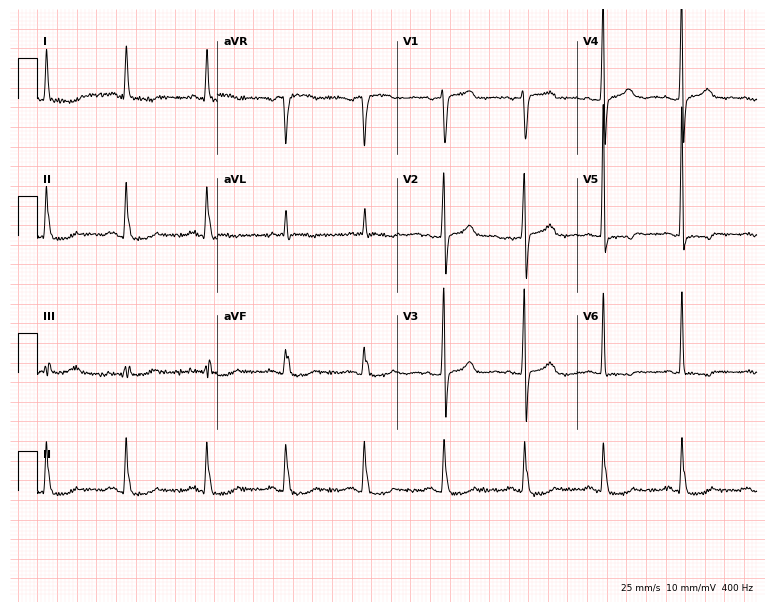
Resting 12-lead electrocardiogram (7.3-second recording at 400 Hz). Patient: a female, 66 years old. None of these six findings is recorded: first-degree AV block, right bundle branch block (RBBB), left bundle branch block (LBBB), sinus bradycardia, atrial fibrillation (AF), sinus tachycardia.